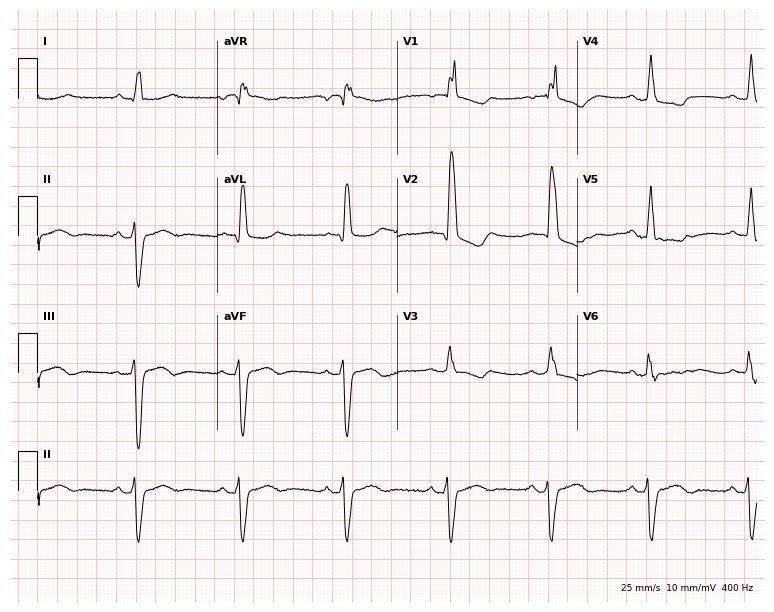
12-lead ECG from a female patient, 84 years old. Shows right bundle branch block (RBBB).